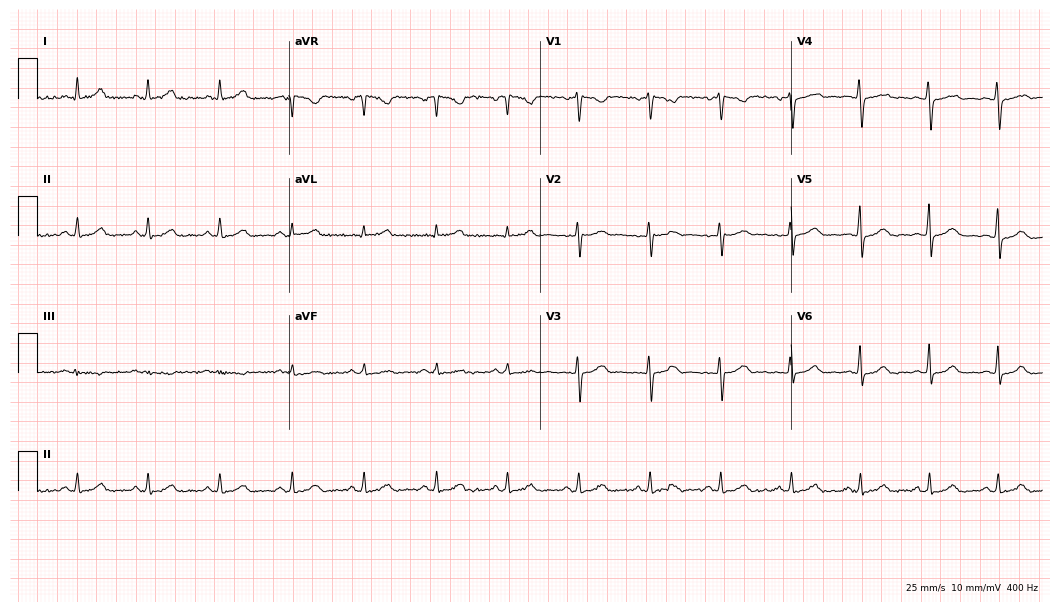
Electrocardiogram (10.2-second recording at 400 Hz), a woman, 32 years old. Overall reading on record: normal ECG.